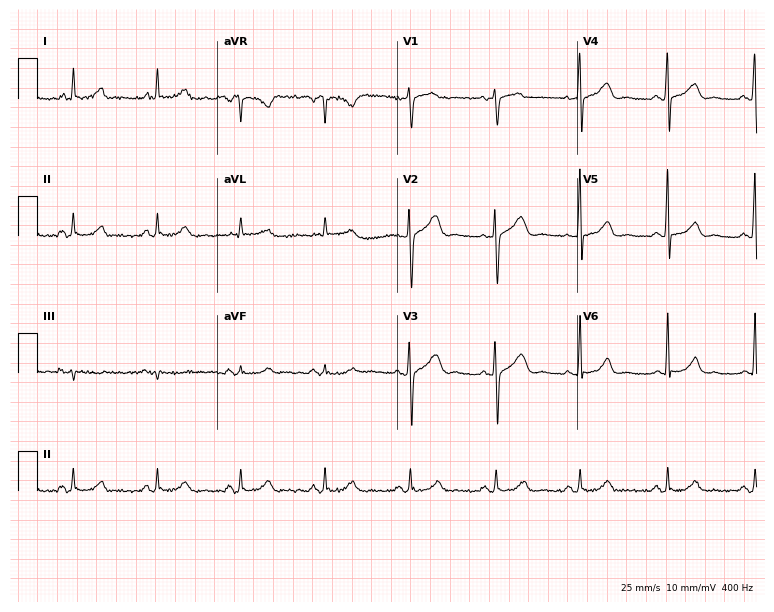
ECG — a 61-year-old female patient. Labelled as a normal ECG.